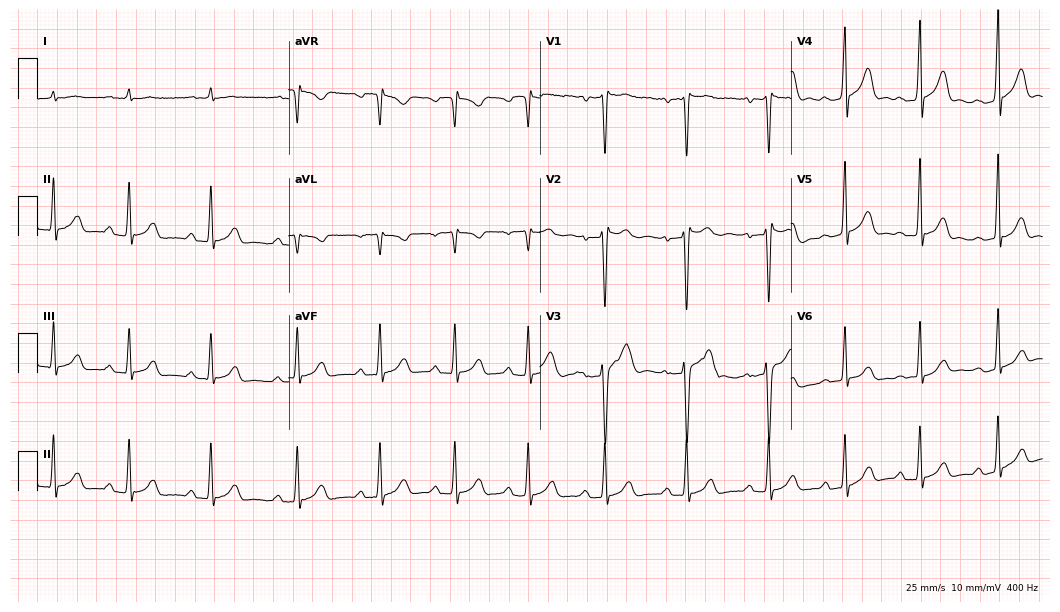
12-lead ECG from a 17-year-old man. Screened for six findings — first-degree AV block, right bundle branch block (RBBB), left bundle branch block (LBBB), sinus bradycardia, atrial fibrillation (AF), sinus tachycardia — none is recorded. Only these six findings were labelled.